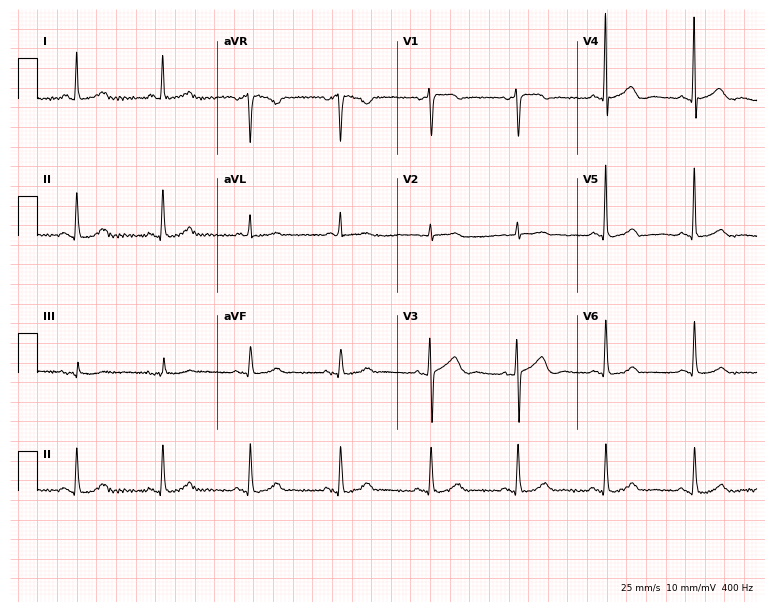
Electrocardiogram (7.3-second recording at 400 Hz), a 63-year-old female. Overall reading on record: normal ECG.